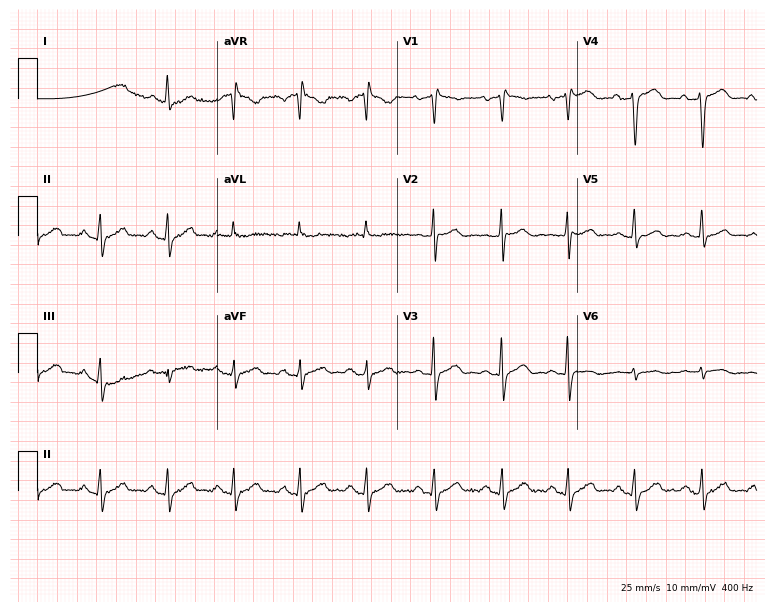
12-lead ECG (7.3-second recording at 400 Hz) from a 55-year-old male patient. Screened for six findings — first-degree AV block, right bundle branch block, left bundle branch block, sinus bradycardia, atrial fibrillation, sinus tachycardia — none is recorded.